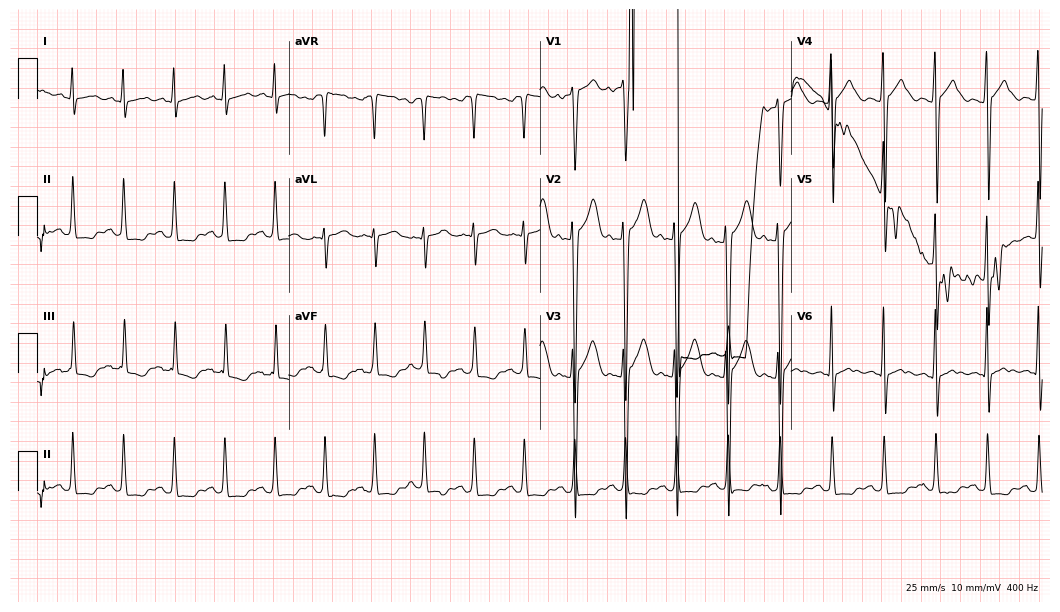
Standard 12-lead ECG recorded from a 26-year-old male. None of these six findings is recorded: first-degree AV block, right bundle branch block, left bundle branch block, sinus bradycardia, atrial fibrillation, sinus tachycardia. Only these six findings were labelled.